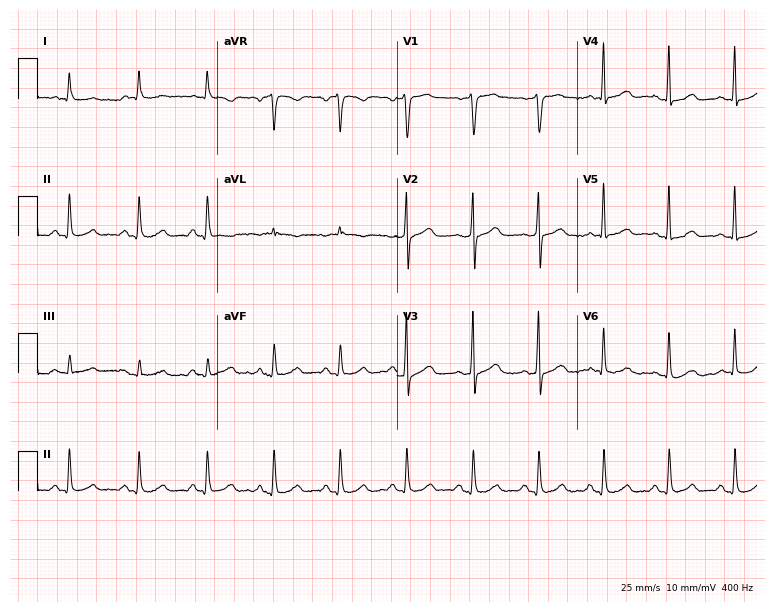
12-lead ECG from a 65-year-old male patient. Recorded interpretation: within normal limits.